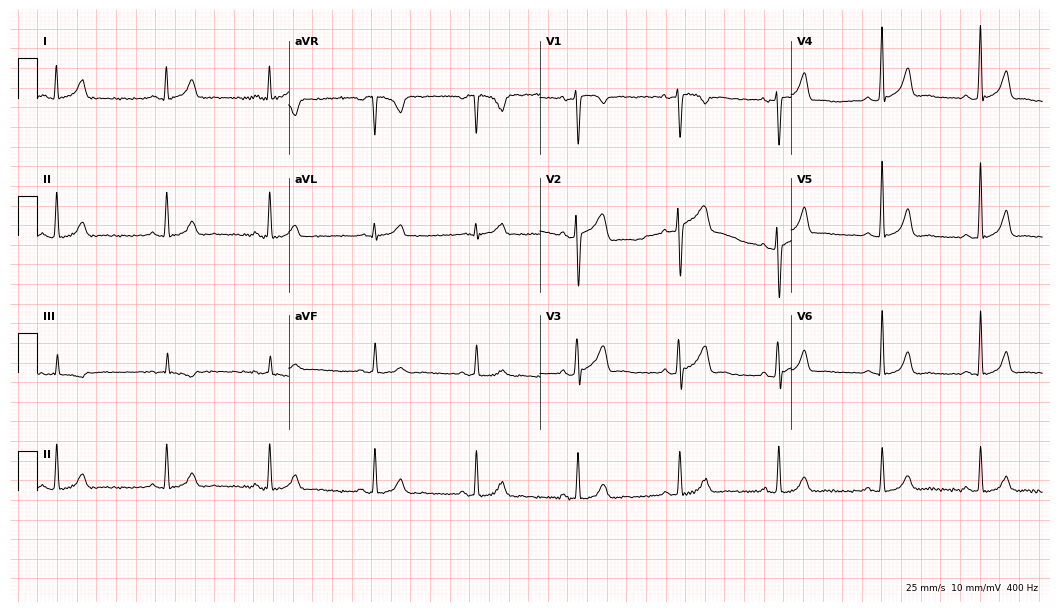
Resting 12-lead electrocardiogram (10.2-second recording at 400 Hz). Patient: a male, 35 years old. Read as a normal ECG.